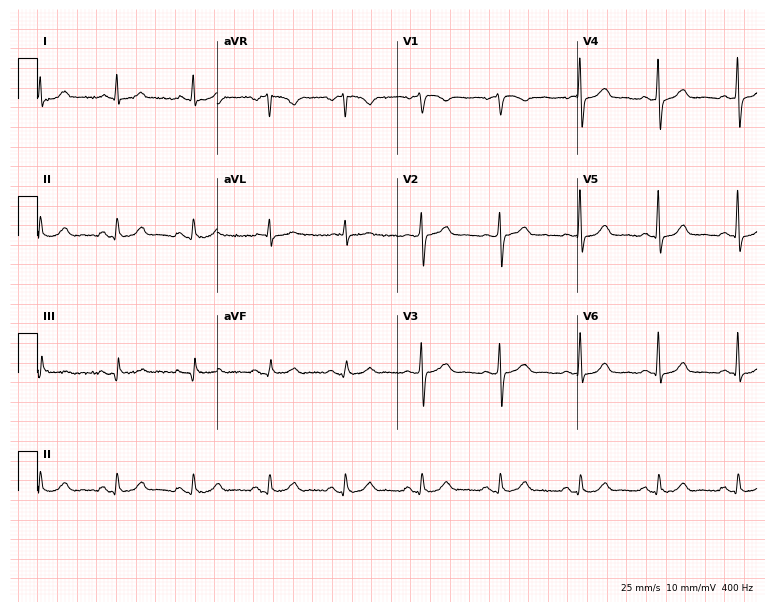
Standard 12-lead ECG recorded from a 71-year-old female (7.3-second recording at 400 Hz). Read as a normal ECG.